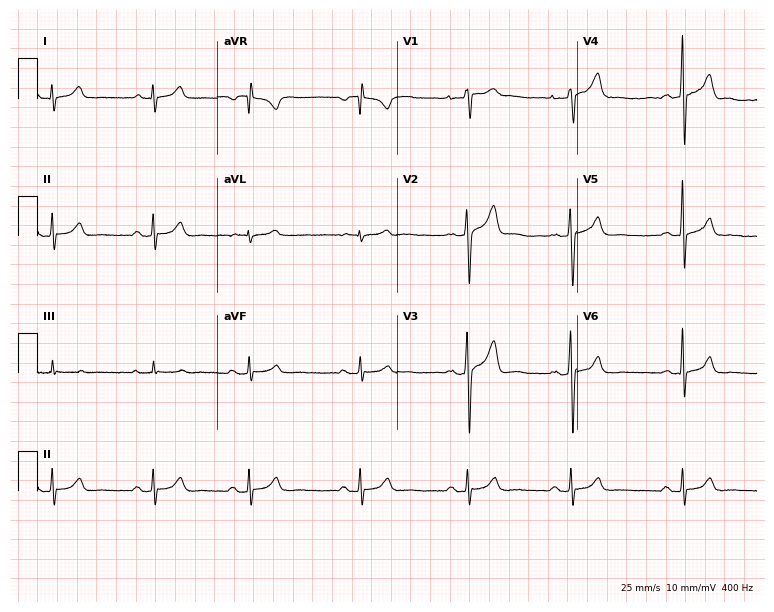
12-lead ECG from a male, 37 years old. Screened for six findings — first-degree AV block, right bundle branch block, left bundle branch block, sinus bradycardia, atrial fibrillation, sinus tachycardia — none is recorded.